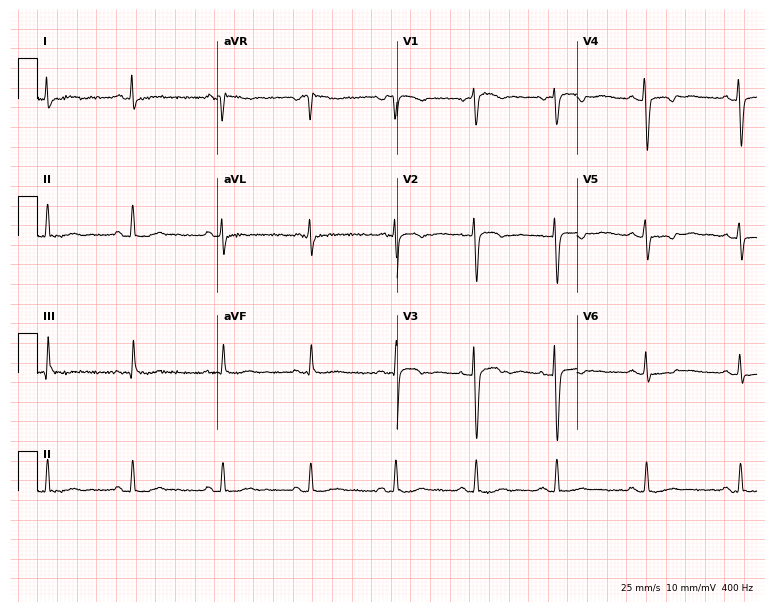
Electrocardiogram, a 41-year-old woman. Of the six screened findings (first-degree AV block, right bundle branch block, left bundle branch block, sinus bradycardia, atrial fibrillation, sinus tachycardia), none is recorded.